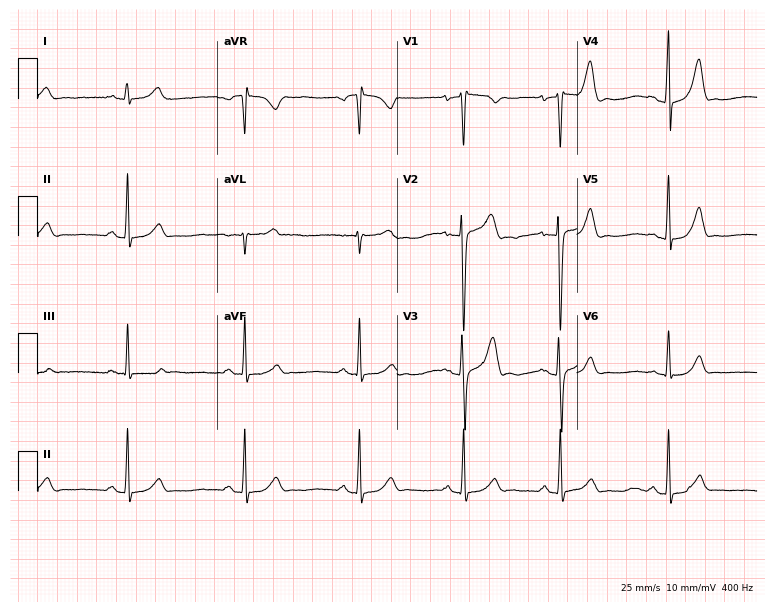
Standard 12-lead ECG recorded from a male, 24 years old. Read as a normal ECG.